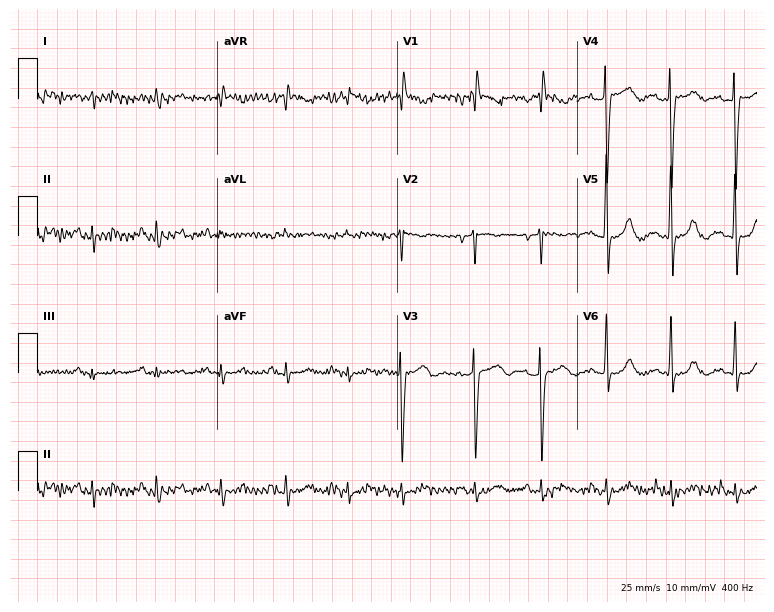
ECG (7.3-second recording at 400 Hz) — an 84-year-old man. Screened for six findings — first-degree AV block, right bundle branch block (RBBB), left bundle branch block (LBBB), sinus bradycardia, atrial fibrillation (AF), sinus tachycardia — none is recorded.